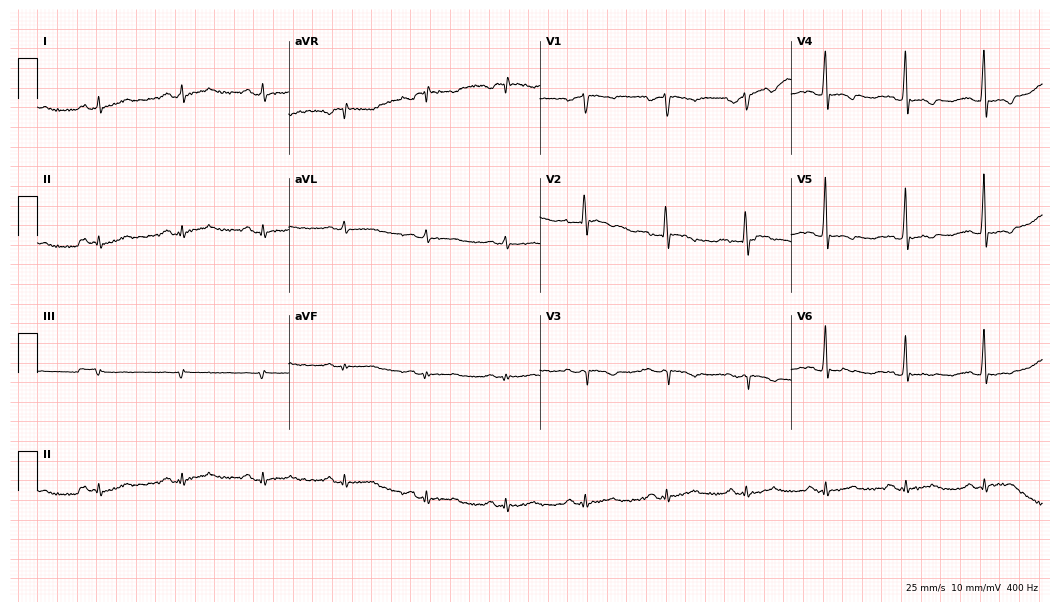
Electrocardiogram, a 68-year-old male. Of the six screened findings (first-degree AV block, right bundle branch block (RBBB), left bundle branch block (LBBB), sinus bradycardia, atrial fibrillation (AF), sinus tachycardia), none is recorded. Only these six findings were labelled.